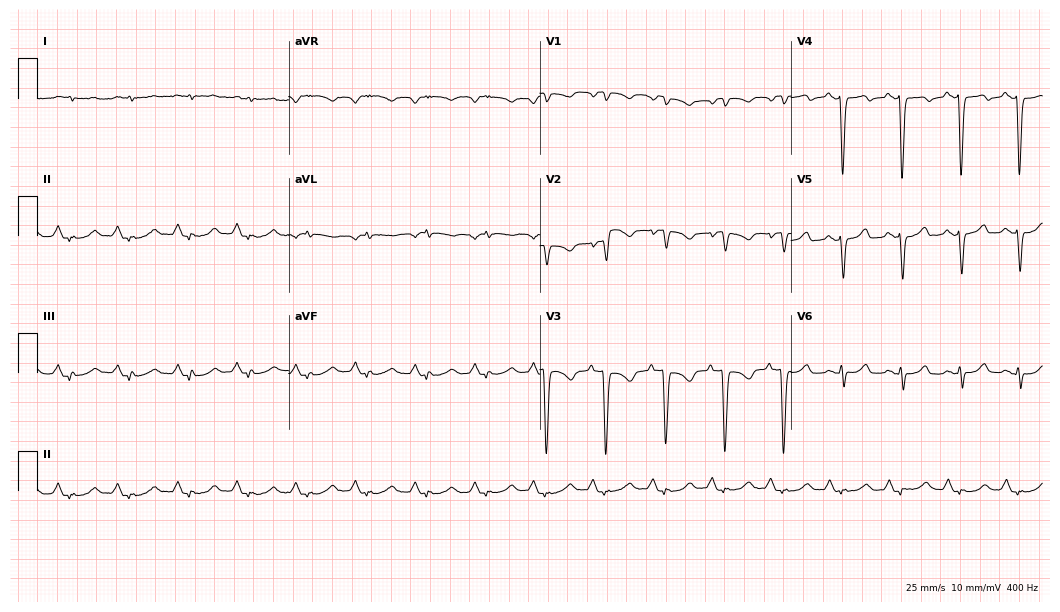
12-lead ECG from a 74-year-old male patient (10.2-second recording at 400 Hz). No first-degree AV block, right bundle branch block (RBBB), left bundle branch block (LBBB), sinus bradycardia, atrial fibrillation (AF) or sinus tachycardia recorded for this tracing.